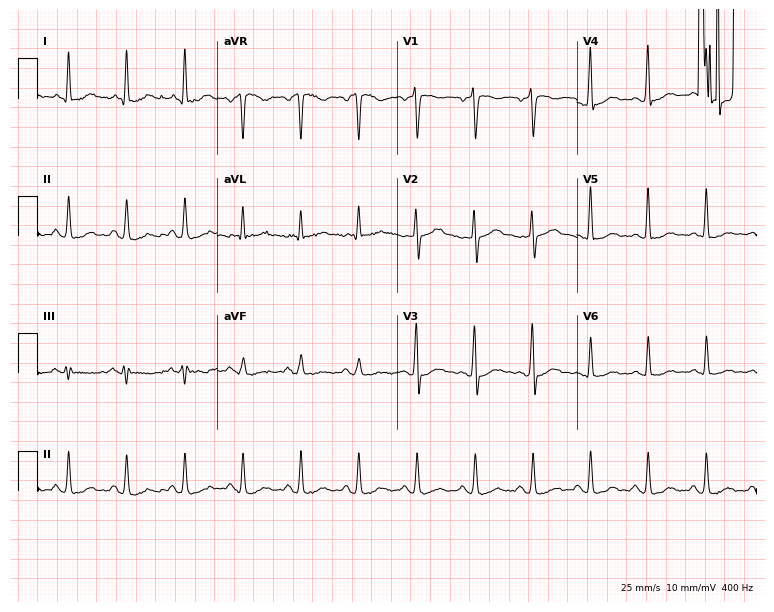
Resting 12-lead electrocardiogram (7.3-second recording at 400 Hz). Patient: a male, 38 years old. The tracing shows sinus tachycardia (a sinus rate of 100 beats per minute or more).